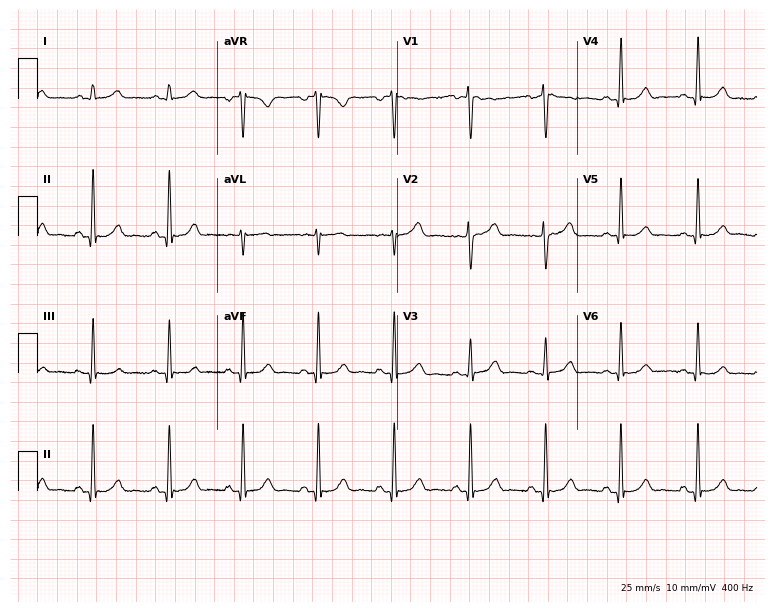
Electrocardiogram, a female, 30 years old. Overall reading on record: normal ECG.